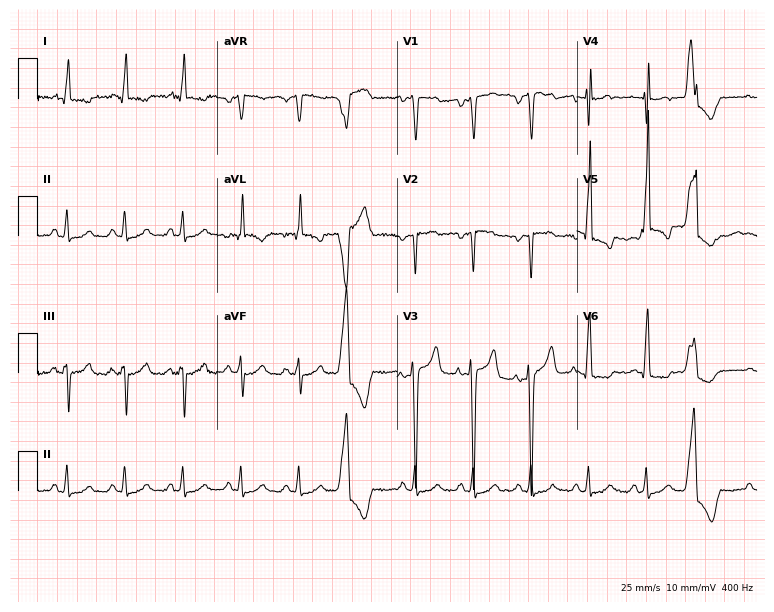
12-lead ECG from a 73-year-old male patient. Screened for six findings — first-degree AV block, right bundle branch block, left bundle branch block, sinus bradycardia, atrial fibrillation, sinus tachycardia — none is recorded. Only these six findings were labelled.